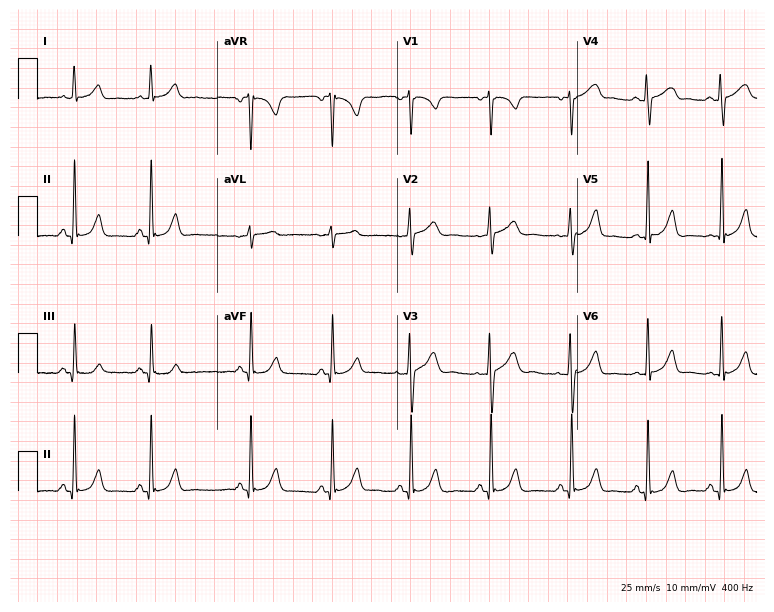
12-lead ECG from a 29-year-old female patient. Labelled as a normal ECG.